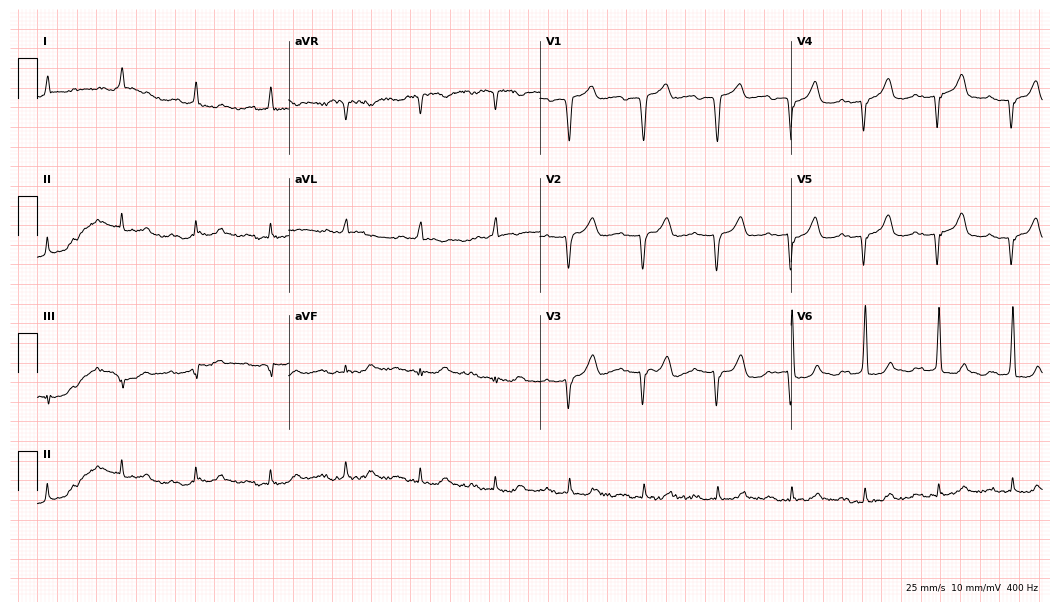
12-lead ECG from a man, 78 years old. Findings include first-degree AV block.